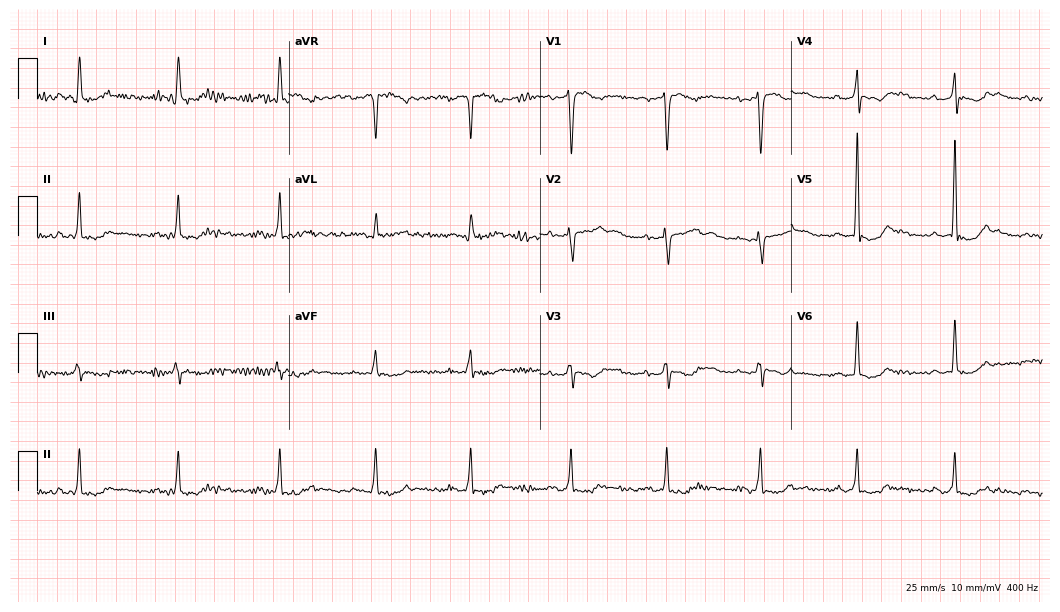
Electrocardiogram (10.2-second recording at 400 Hz), a 48-year-old woman. Of the six screened findings (first-degree AV block, right bundle branch block, left bundle branch block, sinus bradycardia, atrial fibrillation, sinus tachycardia), none is recorded.